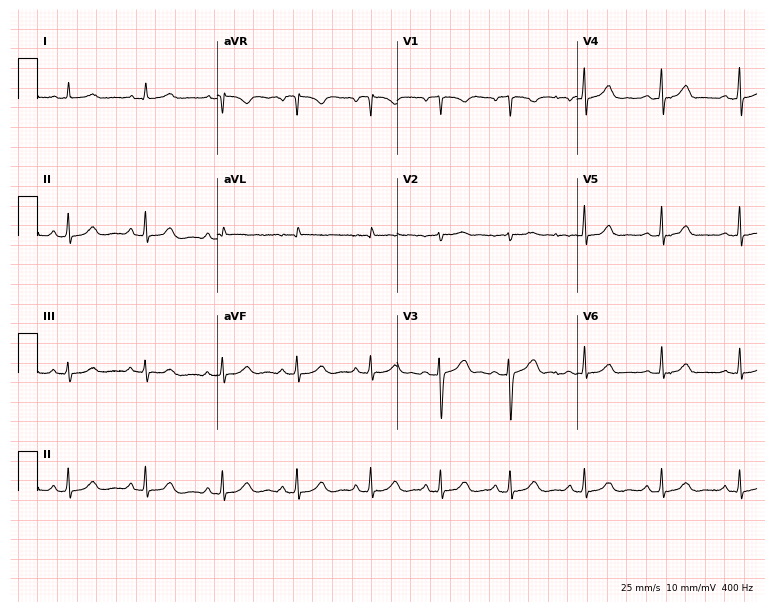
Standard 12-lead ECG recorded from an 18-year-old woman. Read as a normal ECG.